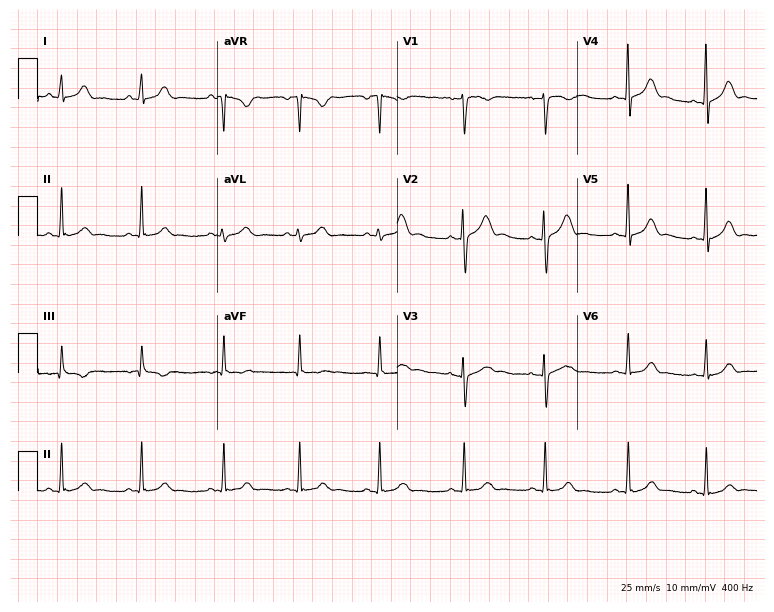
Standard 12-lead ECG recorded from a 19-year-old woman (7.3-second recording at 400 Hz). None of these six findings is recorded: first-degree AV block, right bundle branch block (RBBB), left bundle branch block (LBBB), sinus bradycardia, atrial fibrillation (AF), sinus tachycardia. Findings outside these six are not listed.